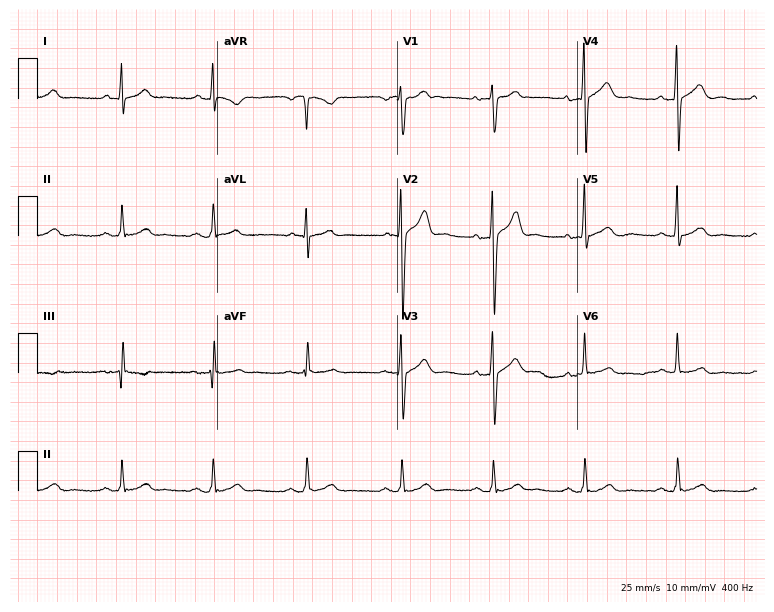
12-lead ECG from a 41-year-old male patient (7.3-second recording at 400 Hz). Recorded interpretation: within normal limits.